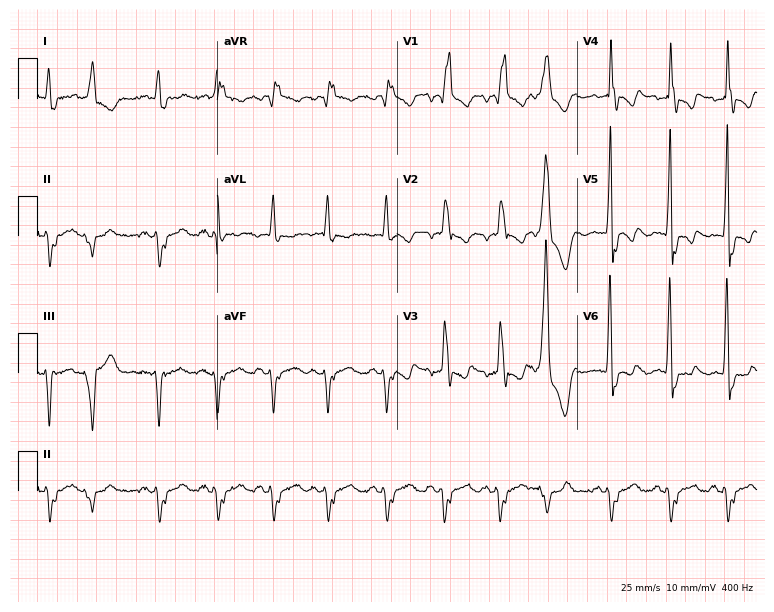
ECG (7.3-second recording at 400 Hz) — a 78-year-old man. Findings include right bundle branch block.